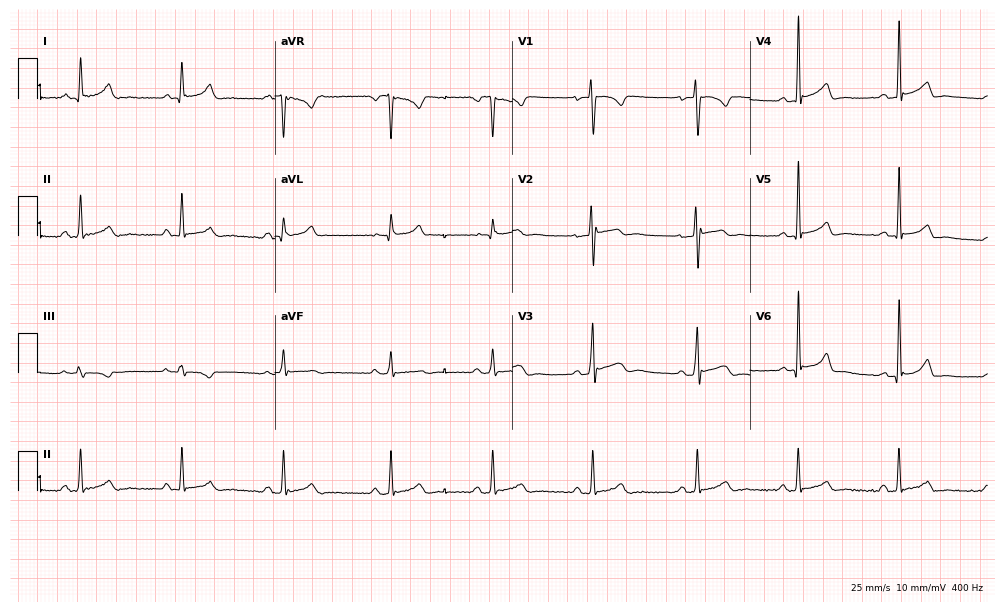
Standard 12-lead ECG recorded from a 27-year-old man (9.7-second recording at 400 Hz). None of these six findings is recorded: first-degree AV block, right bundle branch block (RBBB), left bundle branch block (LBBB), sinus bradycardia, atrial fibrillation (AF), sinus tachycardia. Findings outside these six are not listed.